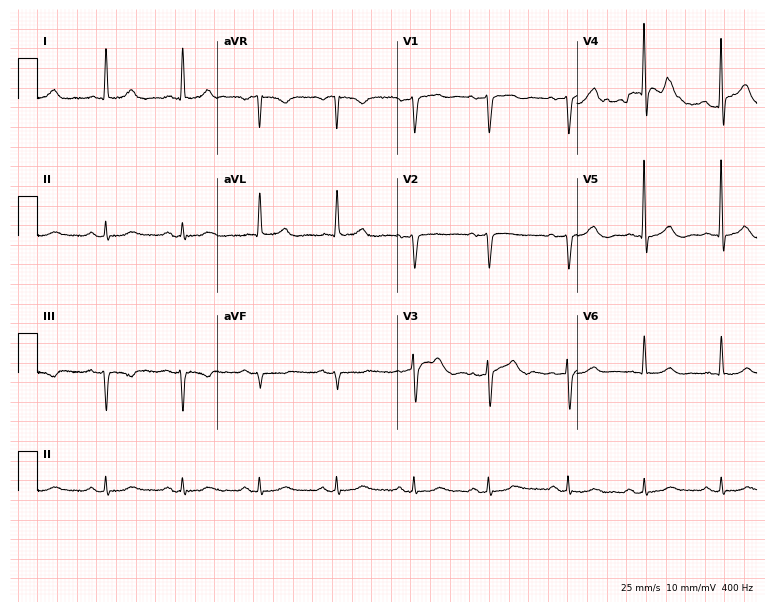
12-lead ECG from an 82-year-old man (7.3-second recording at 400 Hz). No first-degree AV block, right bundle branch block, left bundle branch block, sinus bradycardia, atrial fibrillation or sinus tachycardia recorded for this tracing. Other findings, if any, are not listed.